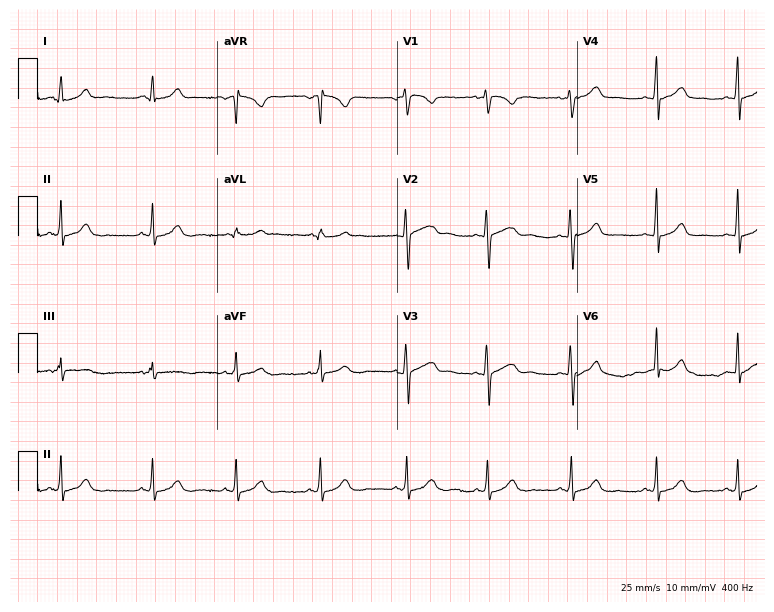
ECG — a woman, 31 years old. Screened for six findings — first-degree AV block, right bundle branch block, left bundle branch block, sinus bradycardia, atrial fibrillation, sinus tachycardia — none is recorded.